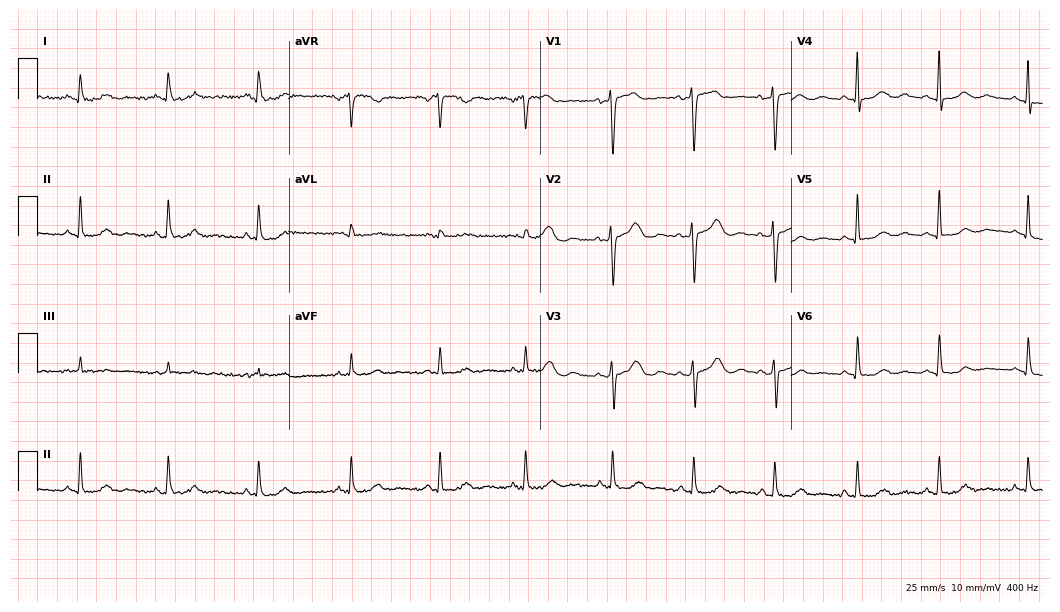
Electrocardiogram (10.2-second recording at 400 Hz), a 52-year-old woman. Overall reading on record: normal ECG.